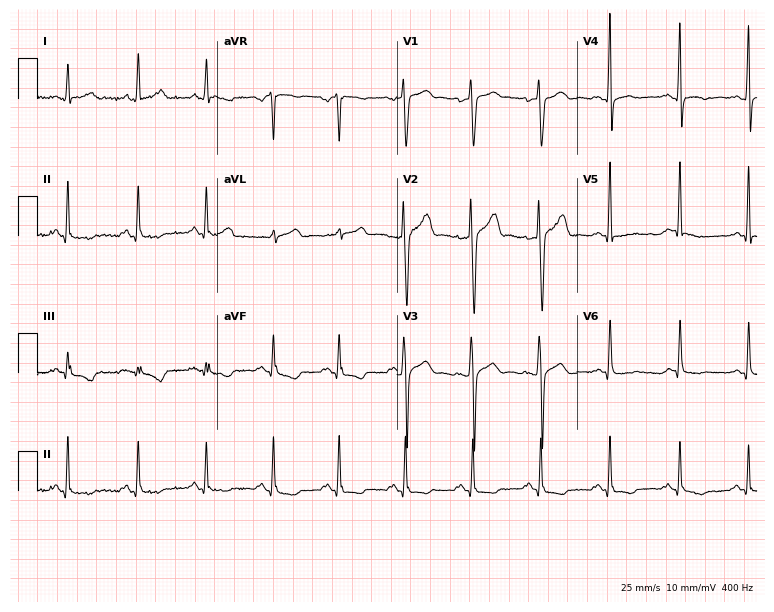
12-lead ECG (7.3-second recording at 400 Hz) from a man, 33 years old. Screened for six findings — first-degree AV block, right bundle branch block, left bundle branch block, sinus bradycardia, atrial fibrillation, sinus tachycardia — none is recorded.